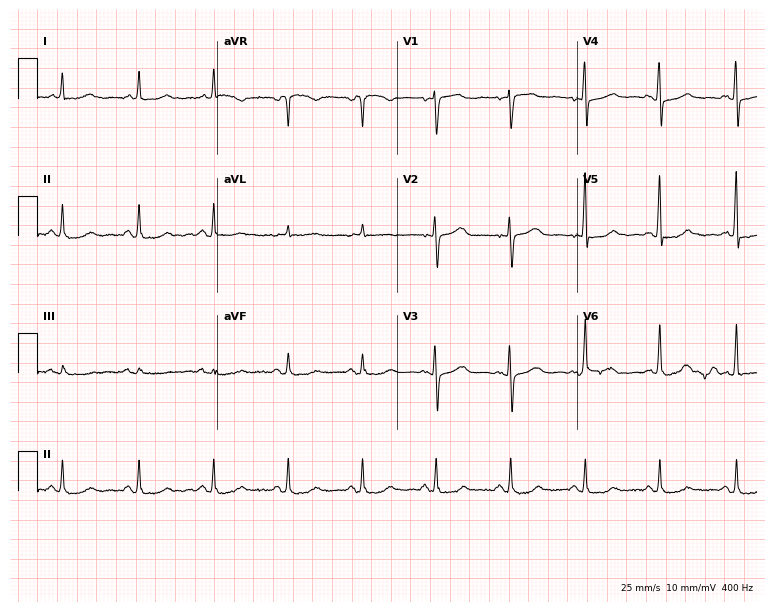
Electrocardiogram, a female, 75 years old. Of the six screened findings (first-degree AV block, right bundle branch block (RBBB), left bundle branch block (LBBB), sinus bradycardia, atrial fibrillation (AF), sinus tachycardia), none is recorded.